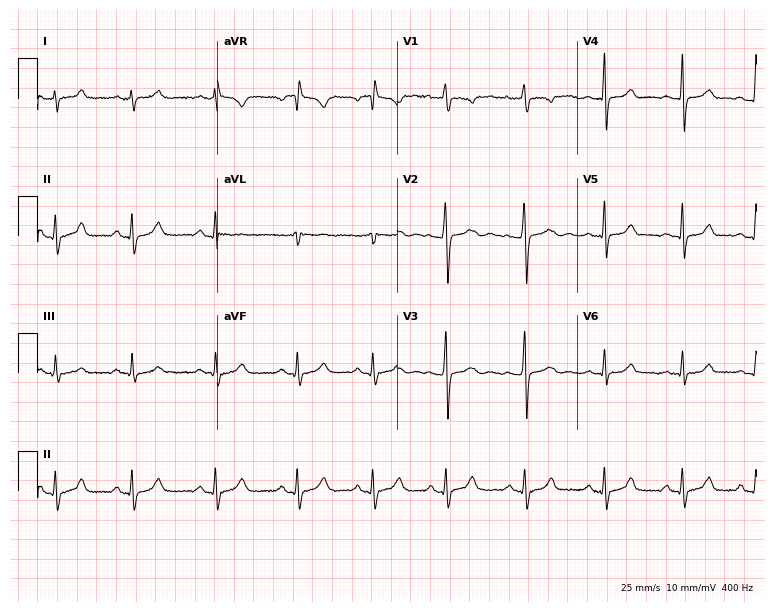
Electrocardiogram, a female patient, 17 years old. Of the six screened findings (first-degree AV block, right bundle branch block, left bundle branch block, sinus bradycardia, atrial fibrillation, sinus tachycardia), none is recorded.